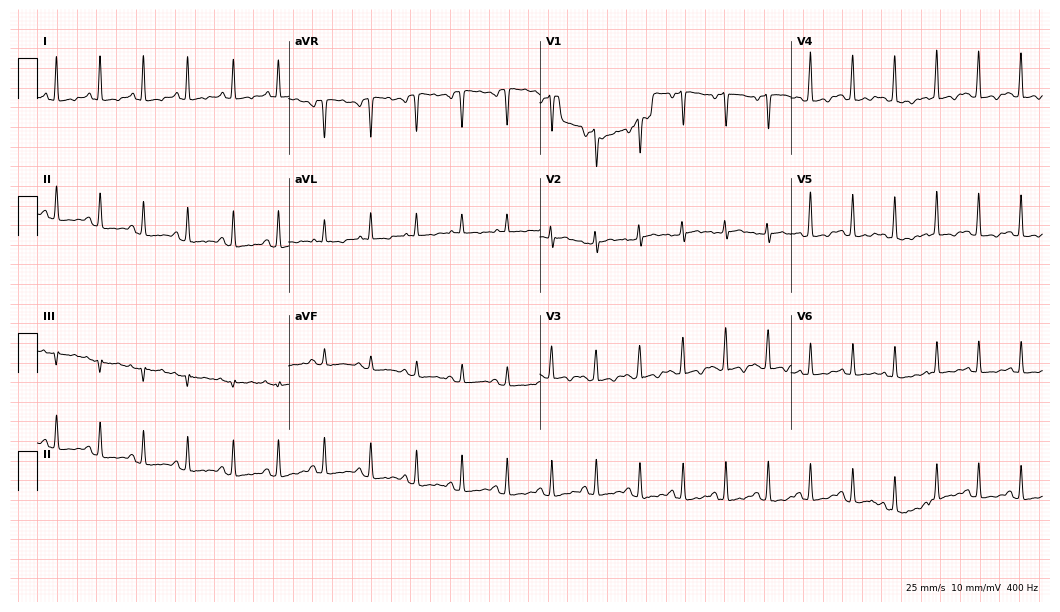
12-lead ECG from a woman, 30 years old (10.2-second recording at 400 Hz). Shows sinus tachycardia (a sinus rate of 100 beats per minute or more).